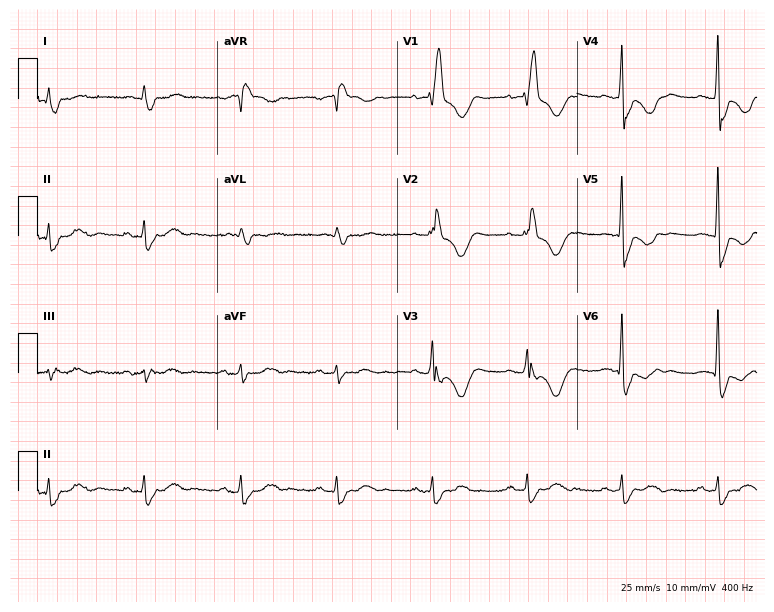
Resting 12-lead electrocardiogram (7.3-second recording at 400 Hz). Patient: a female, 68 years old. The tracing shows right bundle branch block.